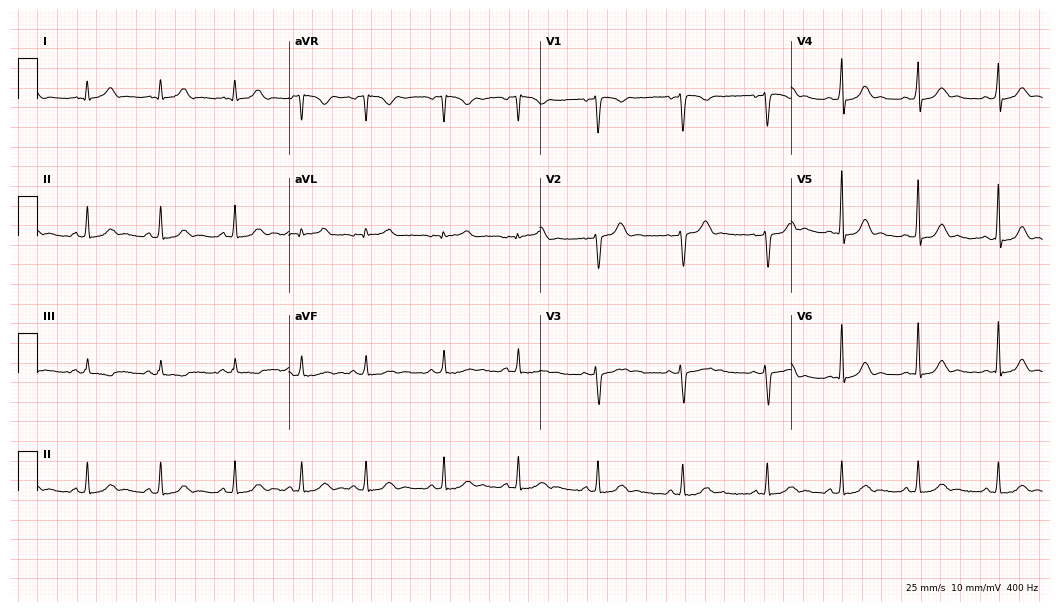
Electrocardiogram (10.2-second recording at 400 Hz), a 37-year-old female. Overall reading on record: normal ECG.